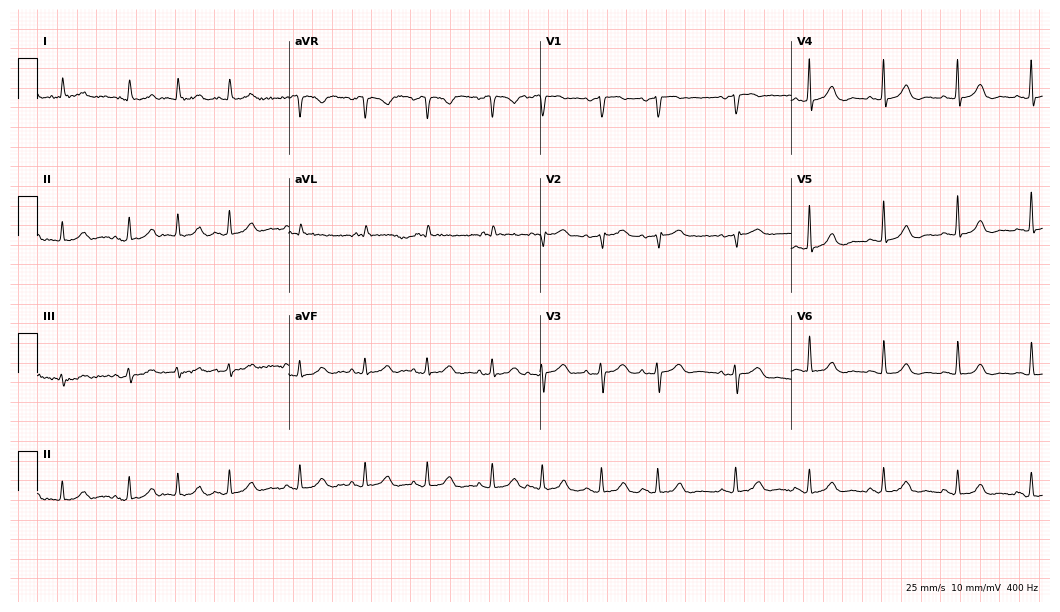
Standard 12-lead ECG recorded from an 82-year-old female. Read as a normal ECG.